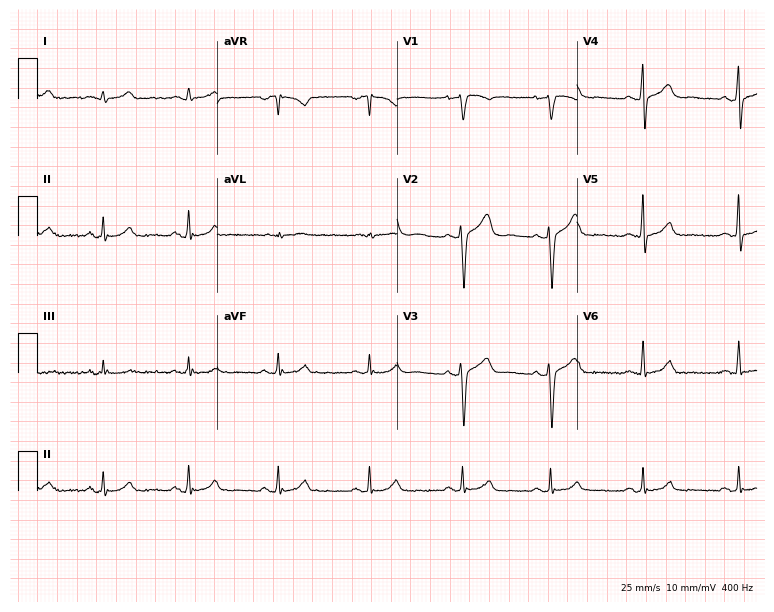
ECG (7.3-second recording at 400 Hz) — a male patient, 34 years old. Labelled as a normal ECG.